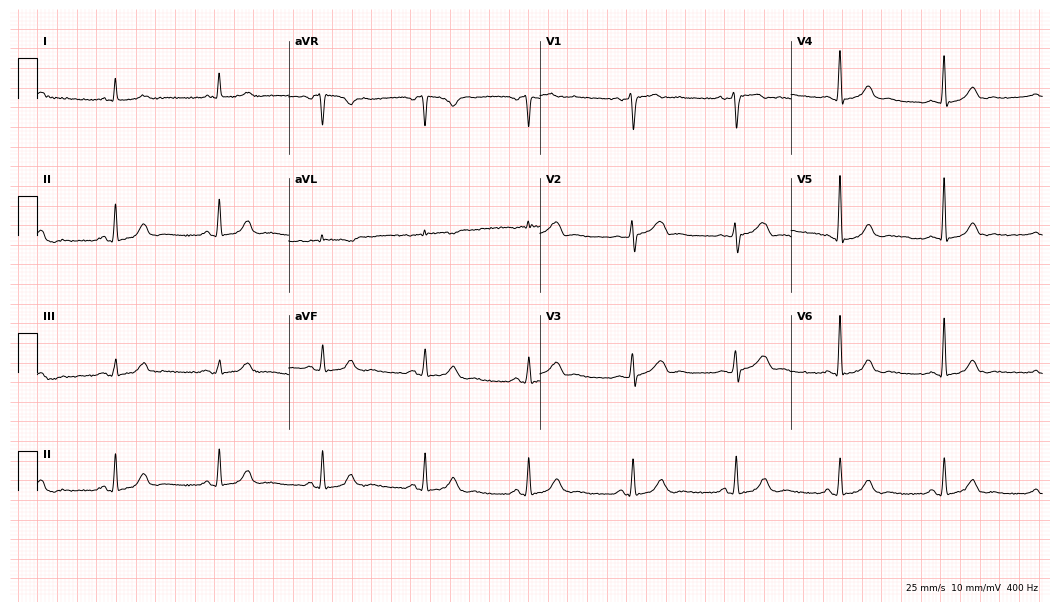
ECG (10.2-second recording at 400 Hz) — a 72-year-old male. Labelled as a normal ECG.